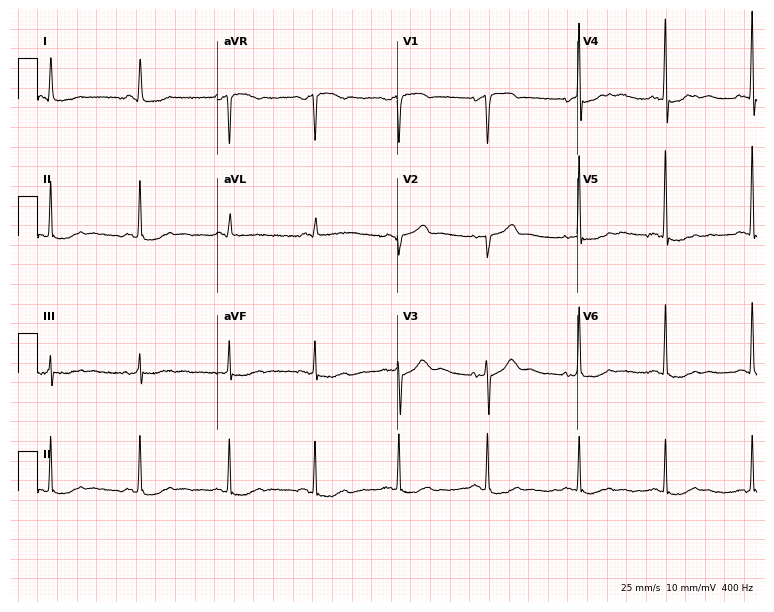
12-lead ECG from a 71-year-old man. No first-degree AV block, right bundle branch block, left bundle branch block, sinus bradycardia, atrial fibrillation or sinus tachycardia recorded for this tracing.